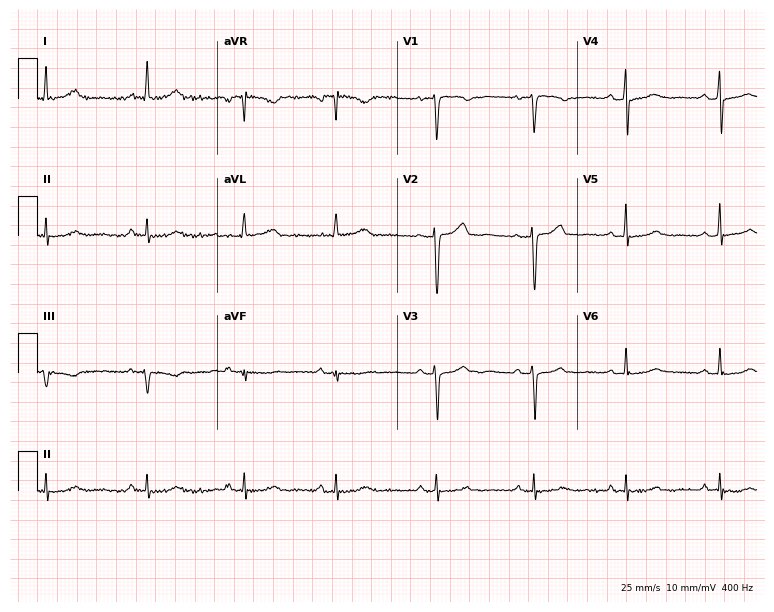
ECG — a female, 45 years old. Labelled as a normal ECG.